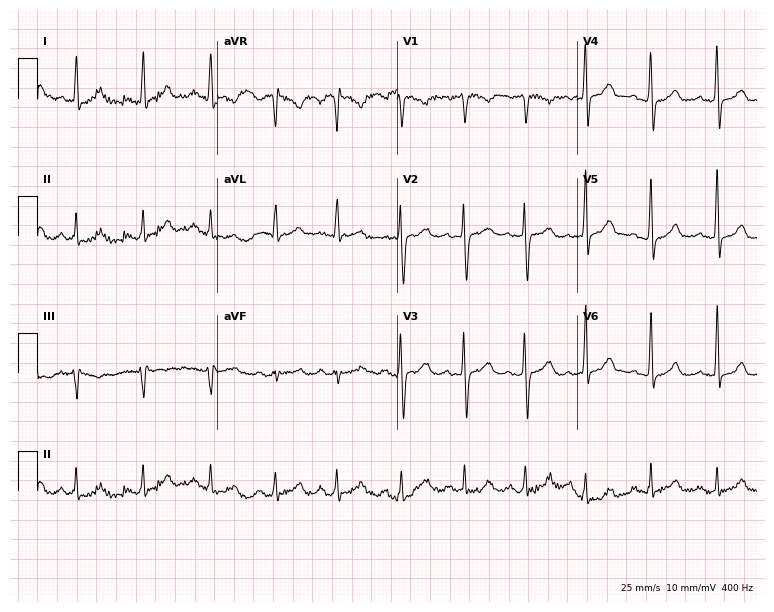
Electrocardiogram (7.3-second recording at 400 Hz), a 28-year-old female patient. Of the six screened findings (first-degree AV block, right bundle branch block, left bundle branch block, sinus bradycardia, atrial fibrillation, sinus tachycardia), none is recorded. Findings outside these six are not listed.